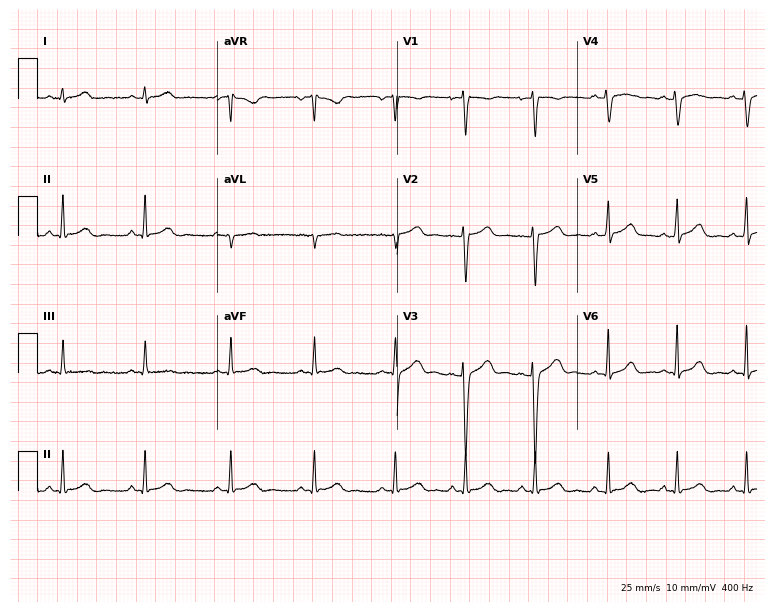
12-lead ECG from a 23-year-old female patient. Labelled as a normal ECG.